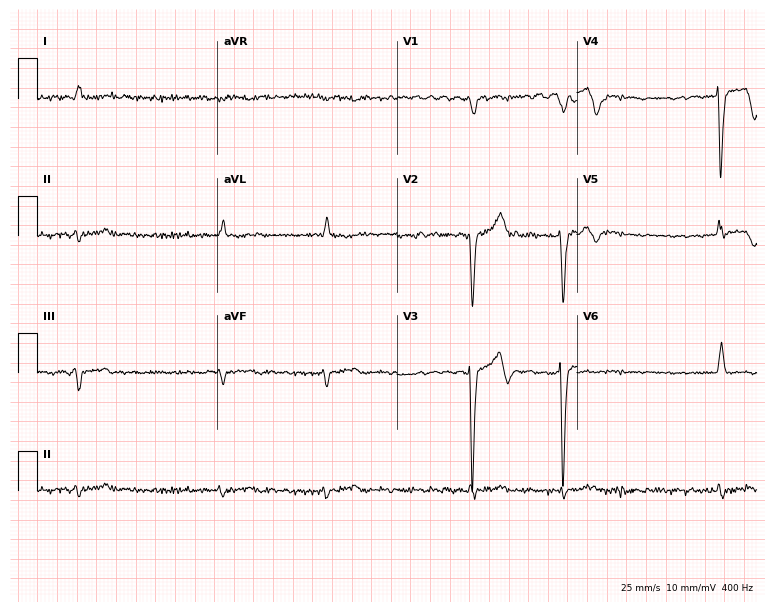
Resting 12-lead electrocardiogram (7.3-second recording at 400 Hz). Patient: a male, 73 years old. The tracing shows atrial fibrillation.